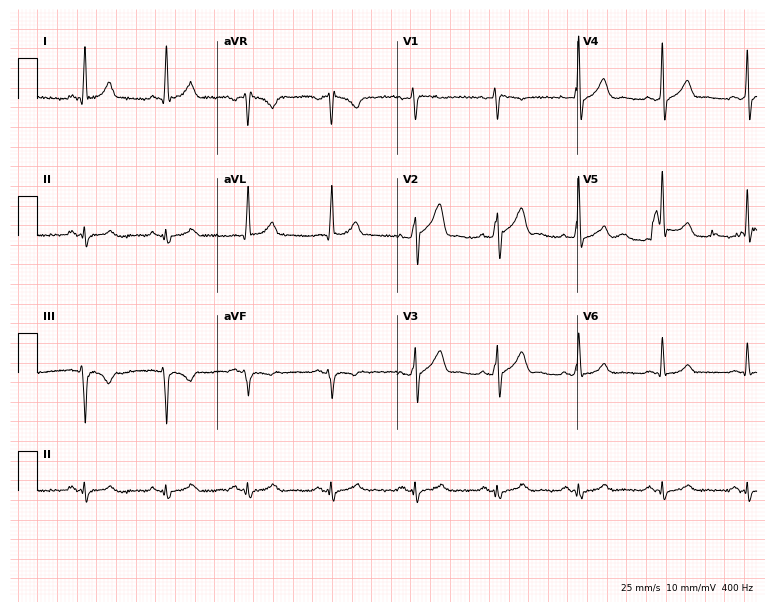
12-lead ECG from a female patient, 57 years old (7.3-second recording at 400 Hz). No first-degree AV block, right bundle branch block, left bundle branch block, sinus bradycardia, atrial fibrillation or sinus tachycardia recorded for this tracing.